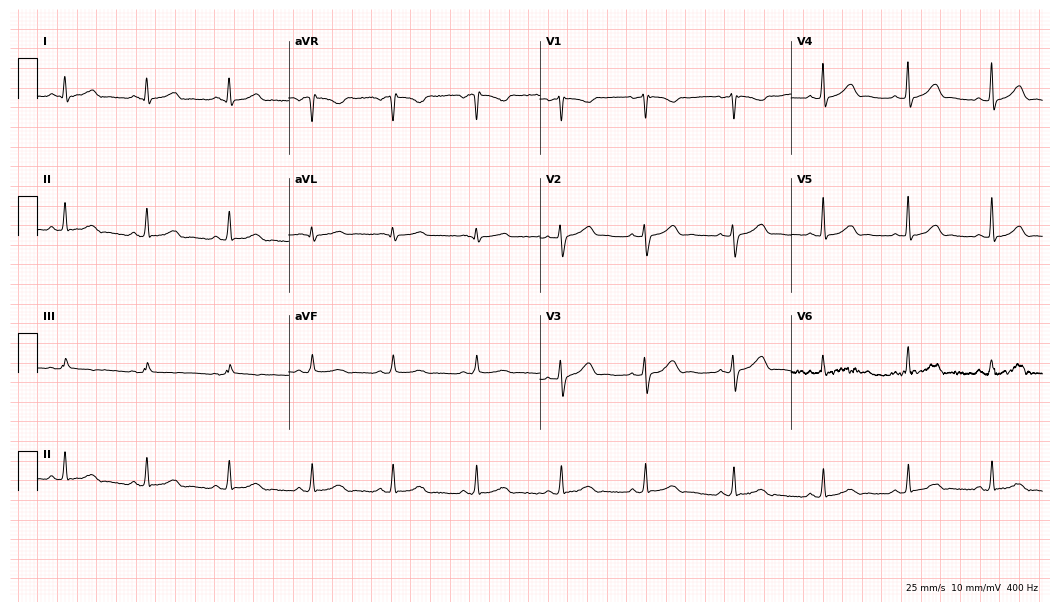
ECG (10.2-second recording at 400 Hz) — a woman, 21 years old. Labelled as a normal ECG.